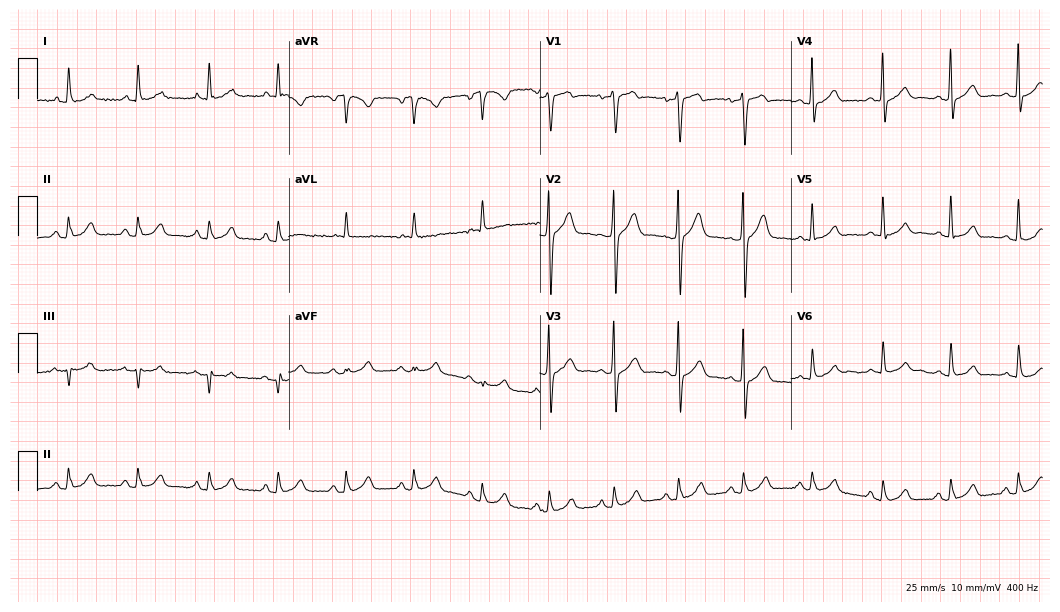
Standard 12-lead ECG recorded from a male patient, 47 years old (10.2-second recording at 400 Hz). Read as a normal ECG.